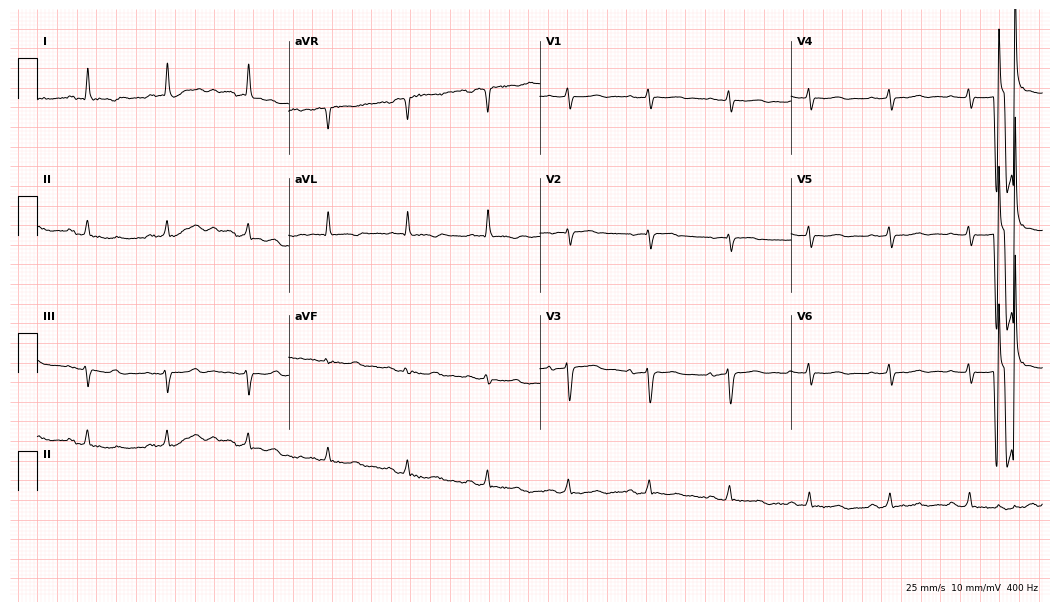
12-lead ECG from a female, 77 years old. Labelled as a normal ECG.